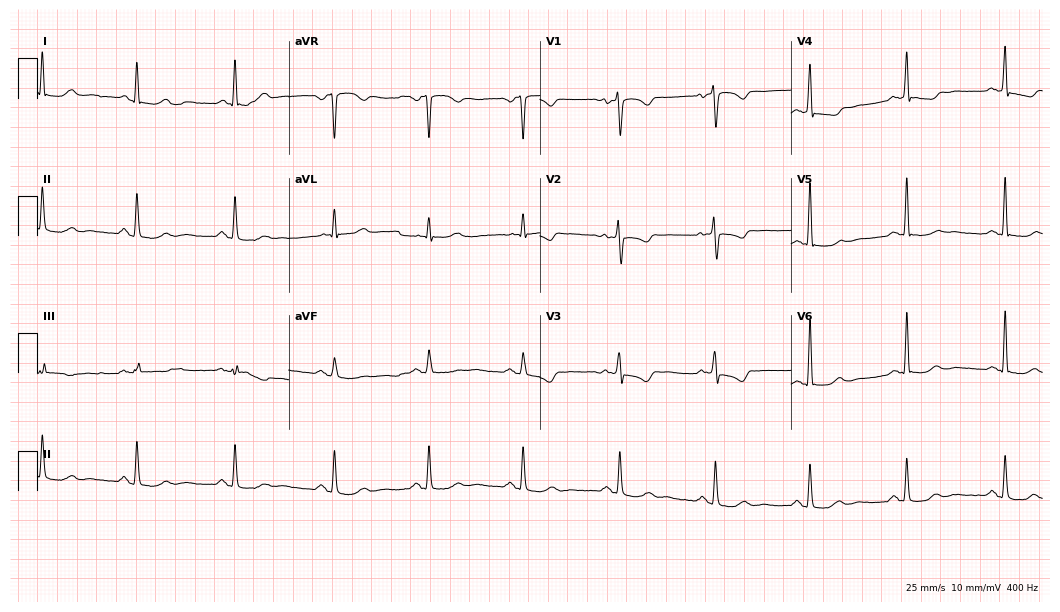
ECG (10.2-second recording at 400 Hz) — a 64-year-old female. Screened for six findings — first-degree AV block, right bundle branch block (RBBB), left bundle branch block (LBBB), sinus bradycardia, atrial fibrillation (AF), sinus tachycardia — none is recorded. Only these six findings were labelled.